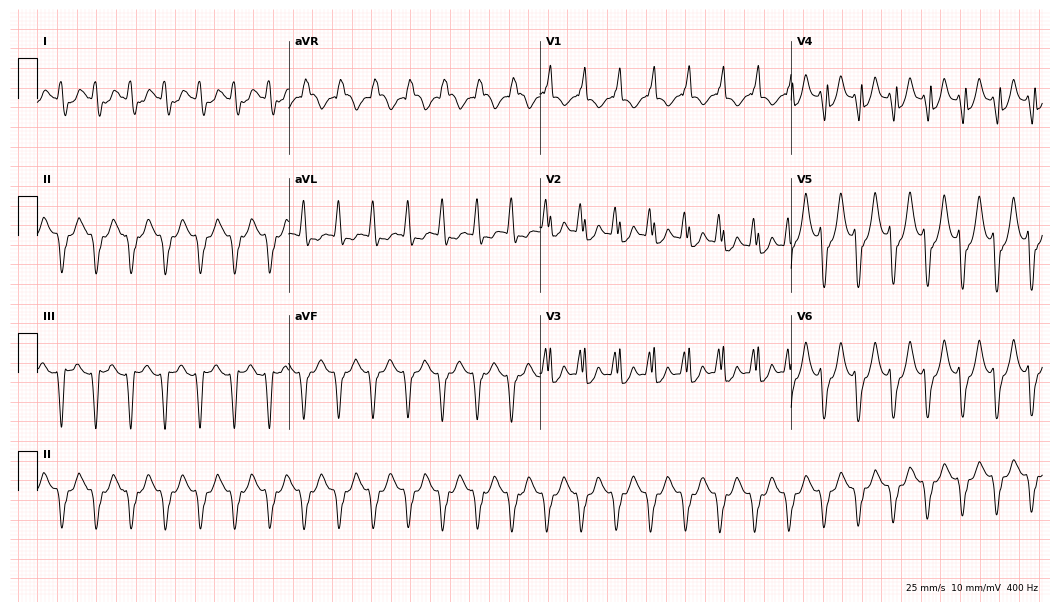
Electrocardiogram (10.2-second recording at 400 Hz), a female patient, 70 years old. Interpretation includes right bundle branch block.